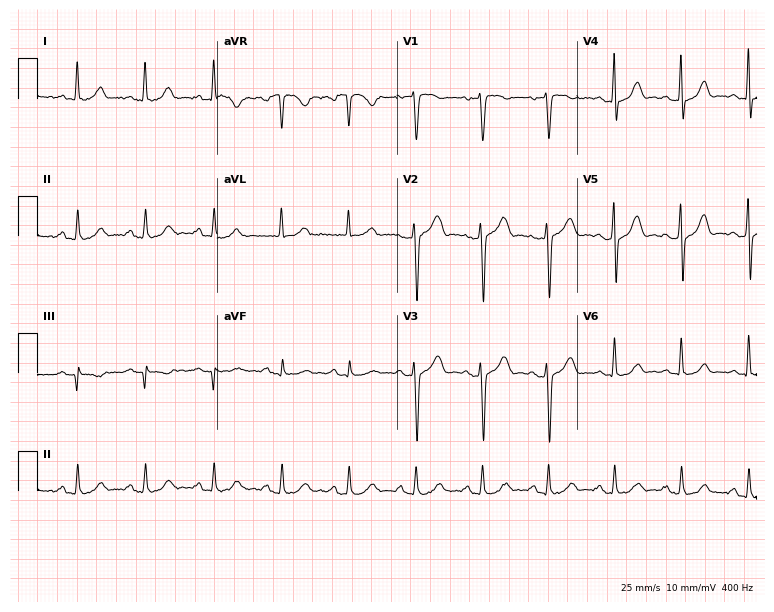
ECG — a 51-year-old male. Screened for six findings — first-degree AV block, right bundle branch block, left bundle branch block, sinus bradycardia, atrial fibrillation, sinus tachycardia — none is recorded. Only these six findings were labelled.